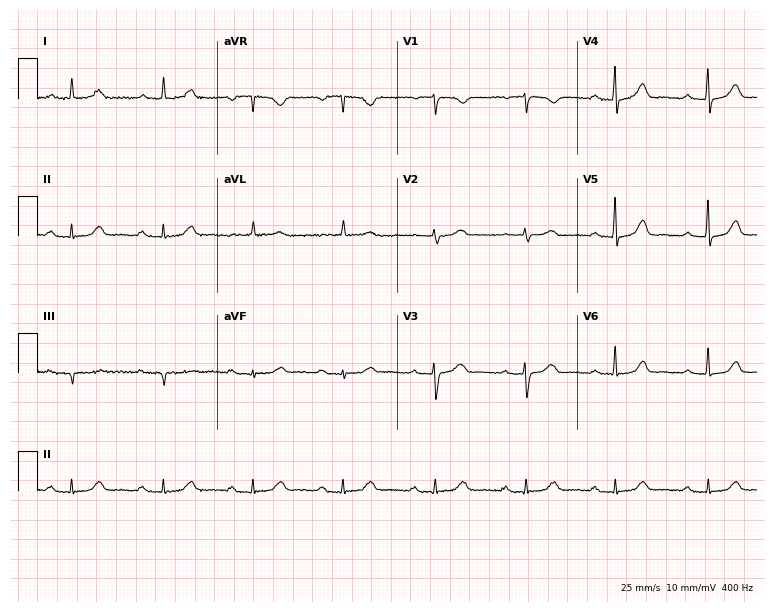
Resting 12-lead electrocardiogram. Patient: an 80-year-old female. The tracing shows first-degree AV block.